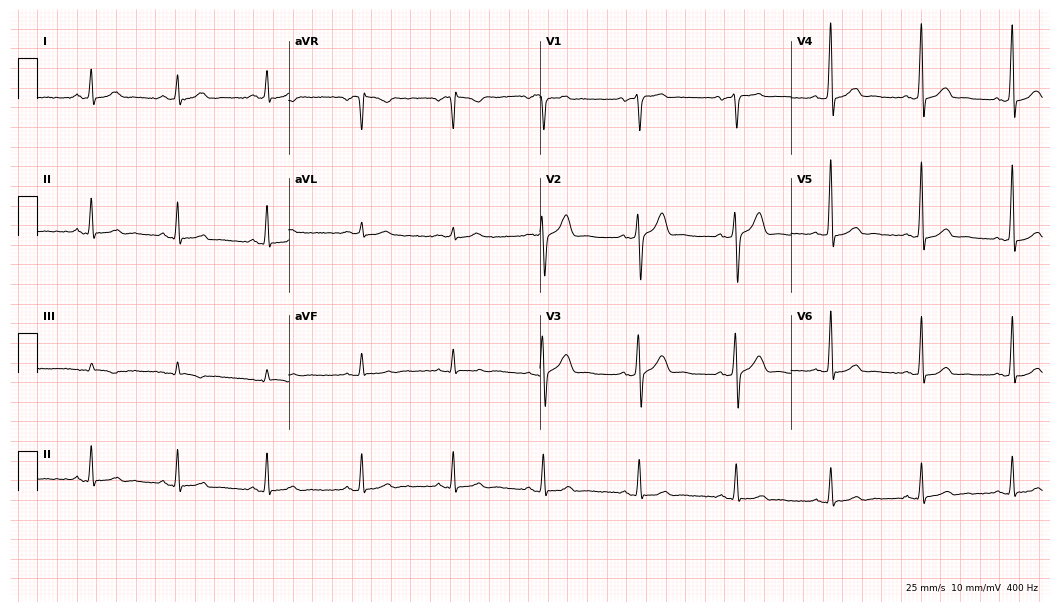
ECG — a 61-year-old female. Labelled as a normal ECG.